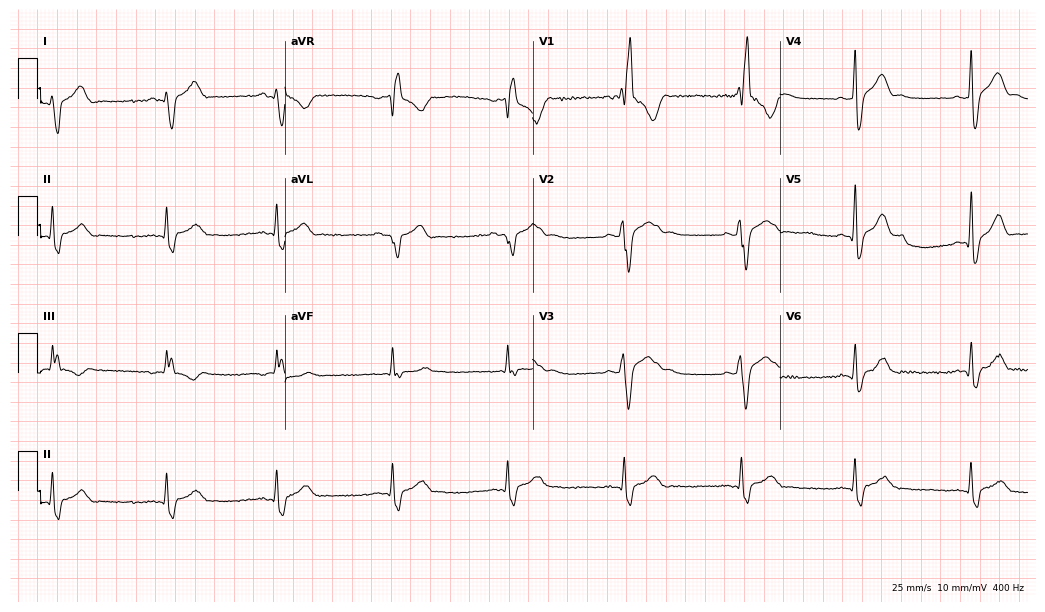
Resting 12-lead electrocardiogram. Patient: a male, 26 years old. The tracing shows right bundle branch block.